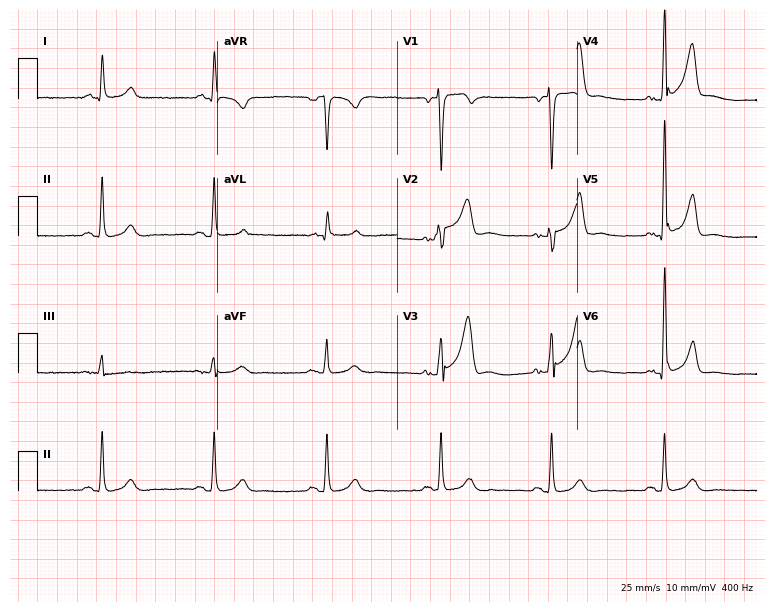
Standard 12-lead ECG recorded from a male, 56 years old. None of these six findings is recorded: first-degree AV block, right bundle branch block (RBBB), left bundle branch block (LBBB), sinus bradycardia, atrial fibrillation (AF), sinus tachycardia.